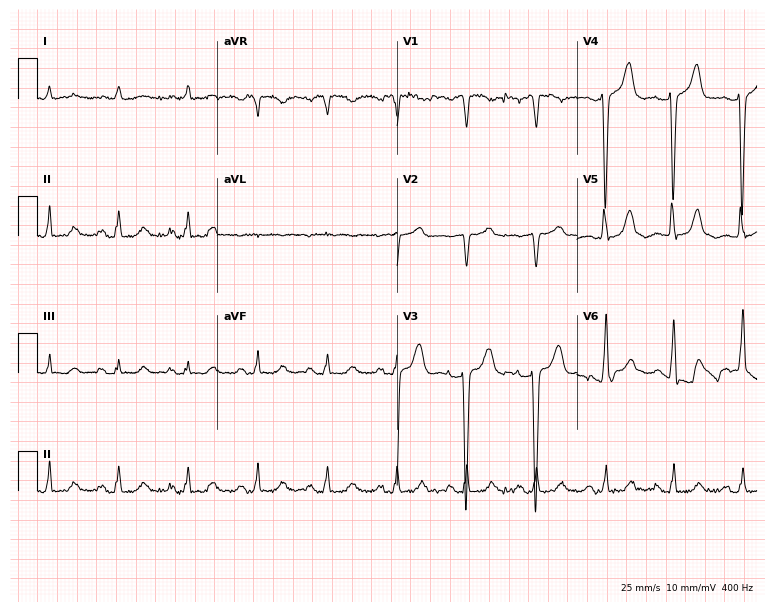
ECG — a female, 76 years old. Screened for six findings — first-degree AV block, right bundle branch block, left bundle branch block, sinus bradycardia, atrial fibrillation, sinus tachycardia — none is recorded.